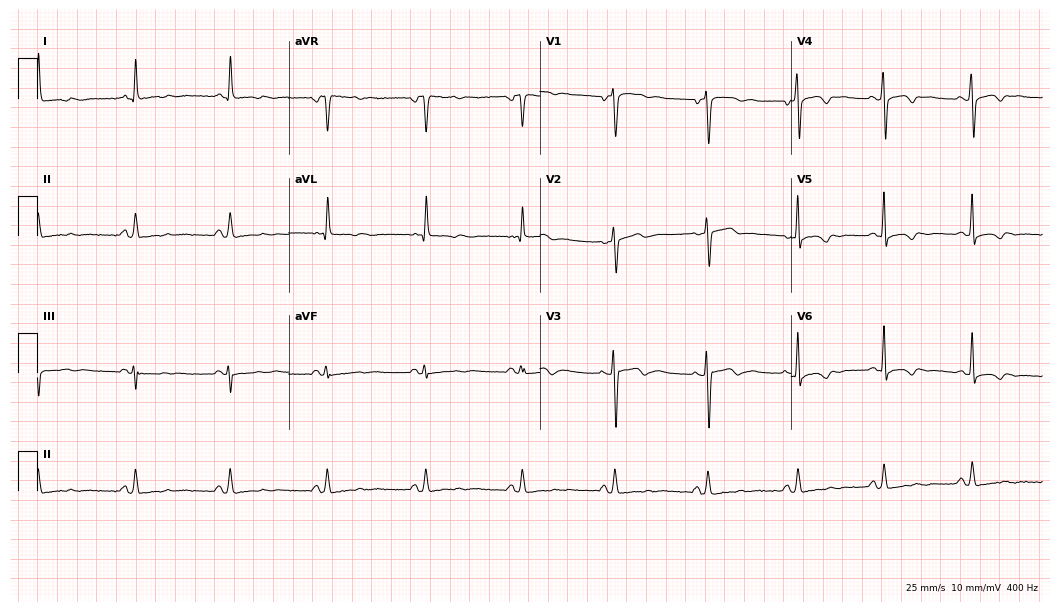
12-lead ECG (10.2-second recording at 400 Hz) from a 44-year-old woman. Screened for six findings — first-degree AV block, right bundle branch block, left bundle branch block, sinus bradycardia, atrial fibrillation, sinus tachycardia — none is recorded. Only these six findings were labelled.